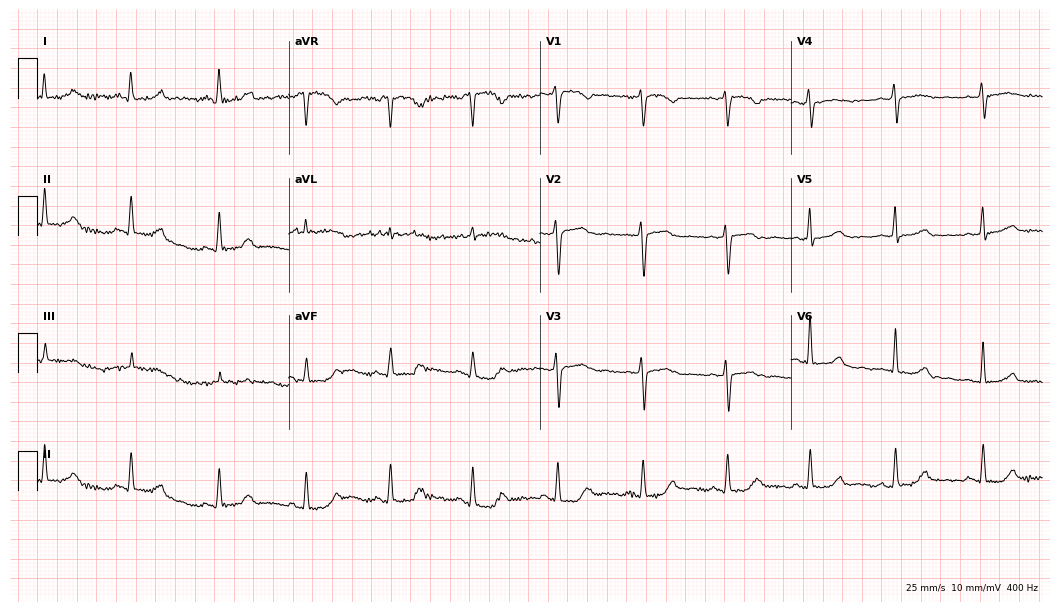
12-lead ECG (10.2-second recording at 400 Hz) from a female patient, 65 years old. Screened for six findings — first-degree AV block, right bundle branch block, left bundle branch block, sinus bradycardia, atrial fibrillation, sinus tachycardia — none is recorded. Findings outside these six are not listed.